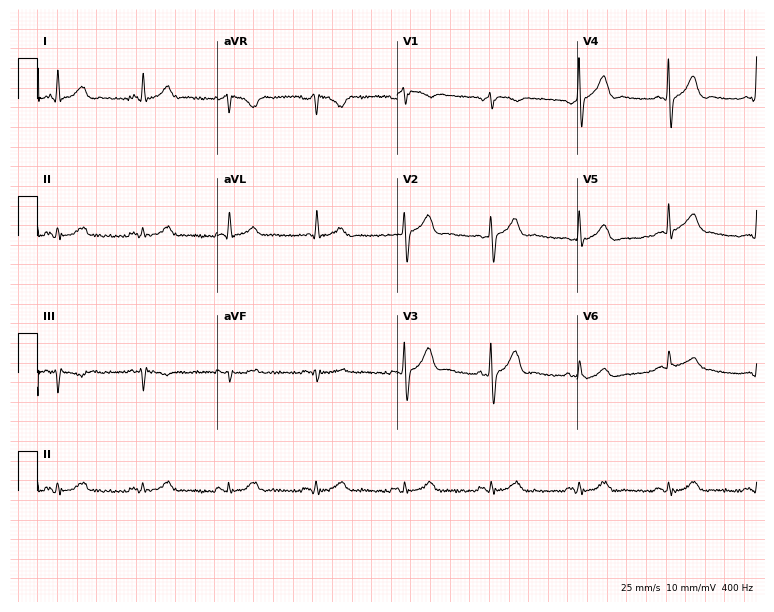
Resting 12-lead electrocardiogram (7.3-second recording at 400 Hz). Patient: a 46-year-old female. None of these six findings is recorded: first-degree AV block, right bundle branch block, left bundle branch block, sinus bradycardia, atrial fibrillation, sinus tachycardia. Other findings, if any, are not listed.